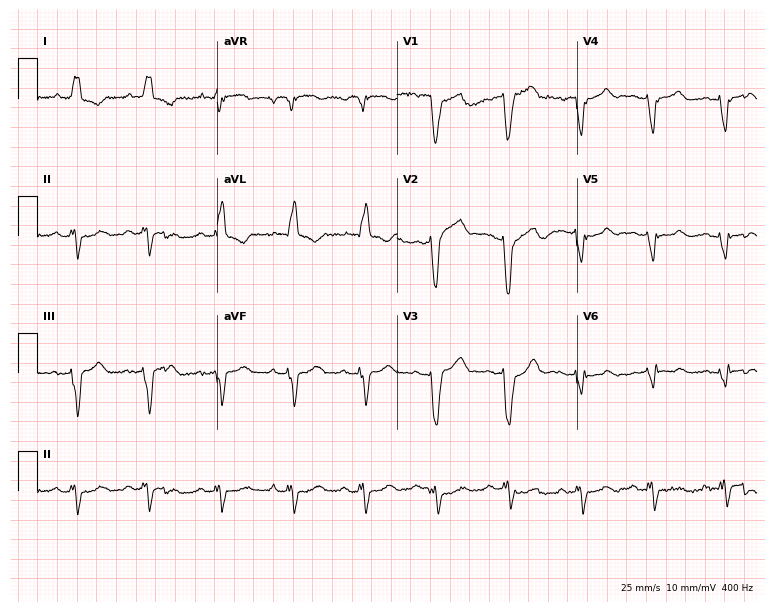
12-lead ECG (7.3-second recording at 400 Hz) from a female patient, 76 years old. Findings include left bundle branch block.